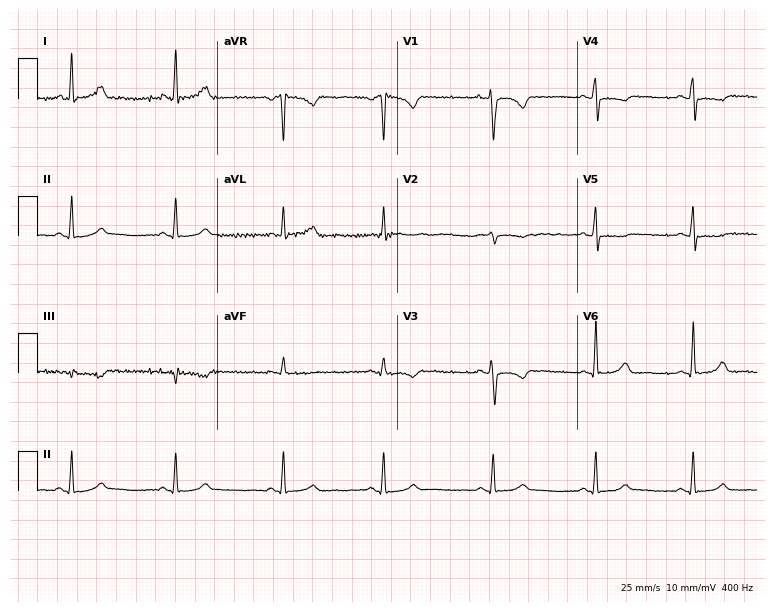
Standard 12-lead ECG recorded from a 32-year-old female patient (7.3-second recording at 400 Hz). None of these six findings is recorded: first-degree AV block, right bundle branch block, left bundle branch block, sinus bradycardia, atrial fibrillation, sinus tachycardia. Findings outside these six are not listed.